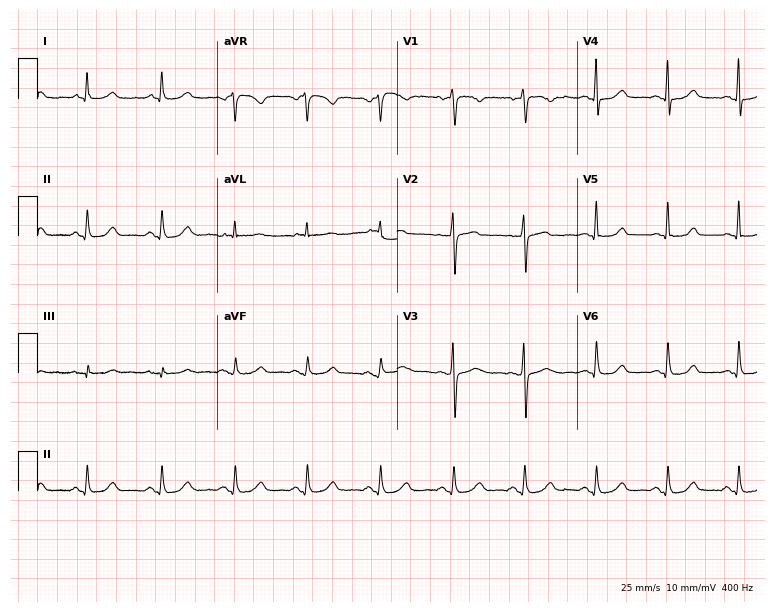
Standard 12-lead ECG recorded from a woman, 62 years old (7.3-second recording at 400 Hz). Read as a normal ECG.